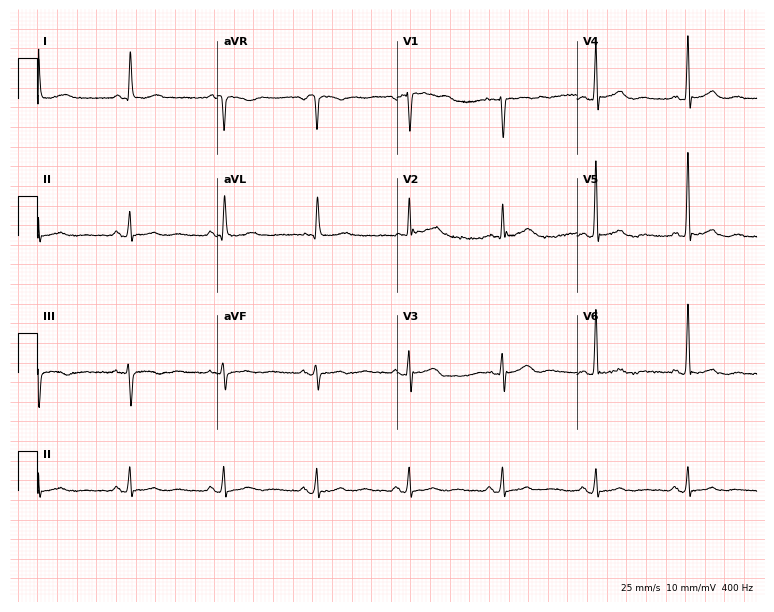
Standard 12-lead ECG recorded from a woman, 79 years old. None of these six findings is recorded: first-degree AV block, right bundle branch block, left bundle branch block, sinus bradycardia, atrial fibrillation, sinus tachycardia. Only these six findings were labelled.